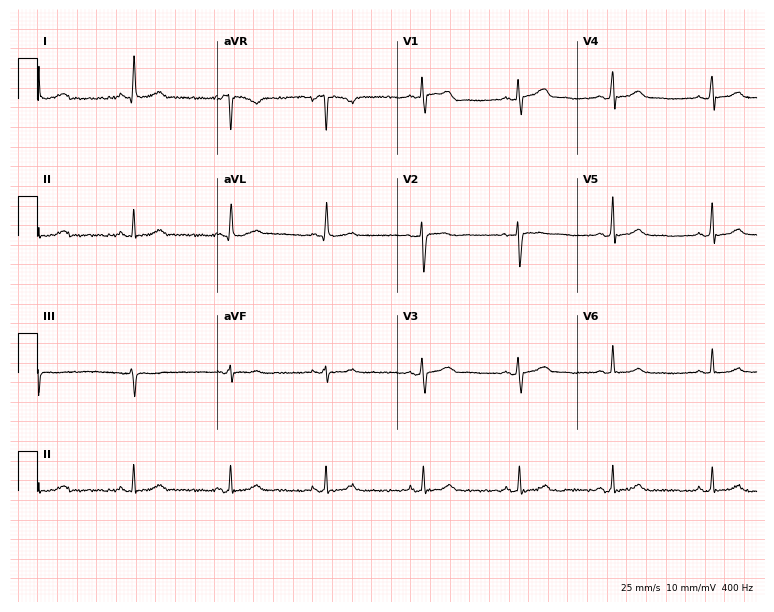
12-lead ECG (7.3-second recording at 400 Hz) from a 38-year-old woman. Labelled as a normal ECG.